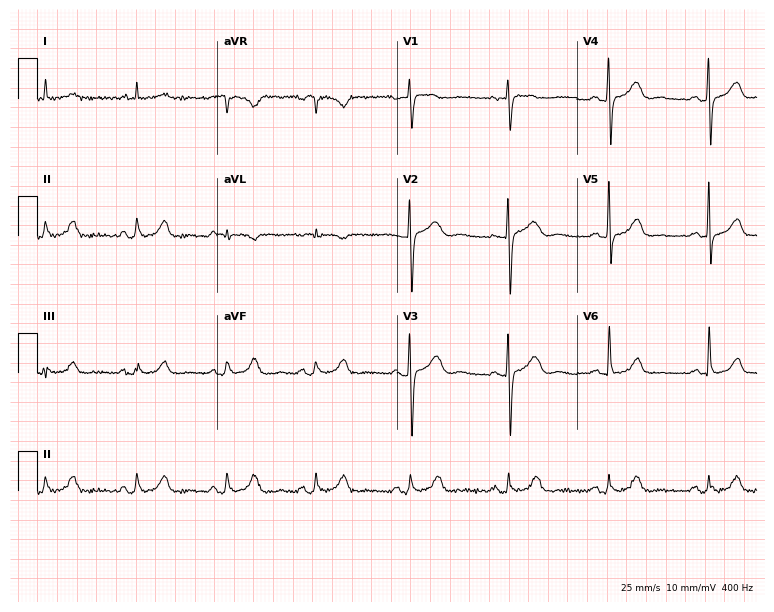
ECG — a female patient, 58 years old. Labelled as a normal ECG.